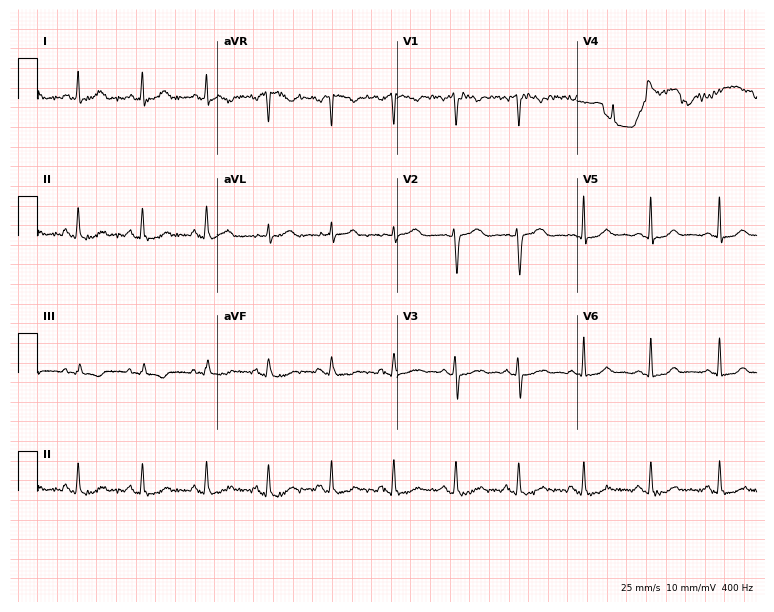
Electrocardiogram, a female, 25 years old. Overall reading on record: normal ECG.